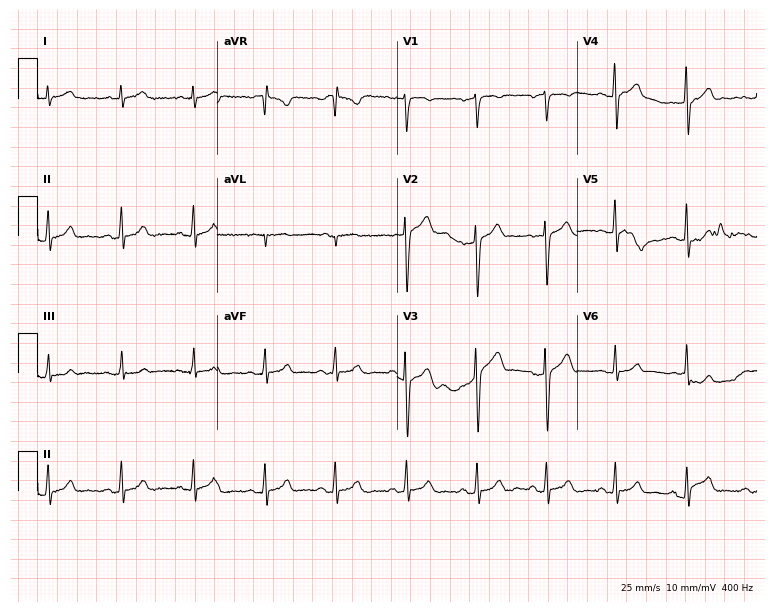
12-lead ECG from a 29-year-old male. Screened for six findings — first-degree AV block, right bundle branch block, left bundle branch block, sinus bradycardia, atrial fibrillation, sinus tachycardia — none is recorded.